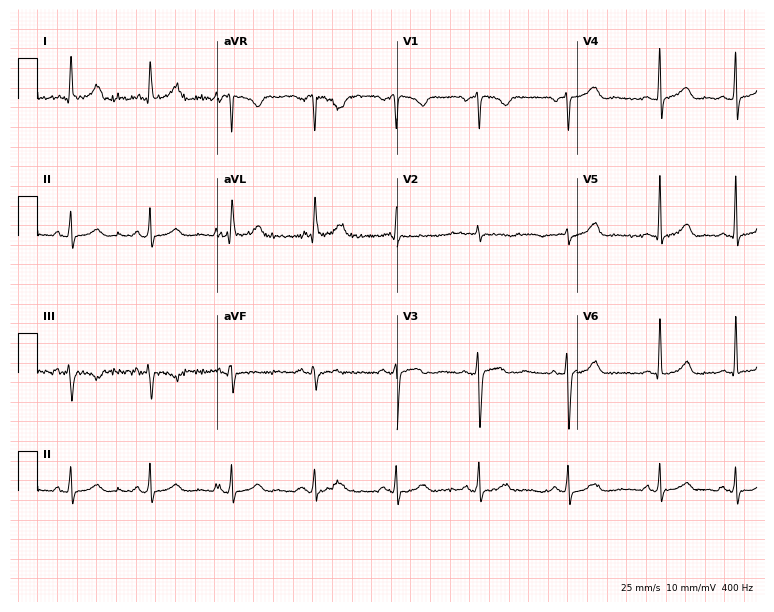
ECG (7.3-second recording at 400 Hz) — a 31-year-old woman. Labelled as a normal ECG.